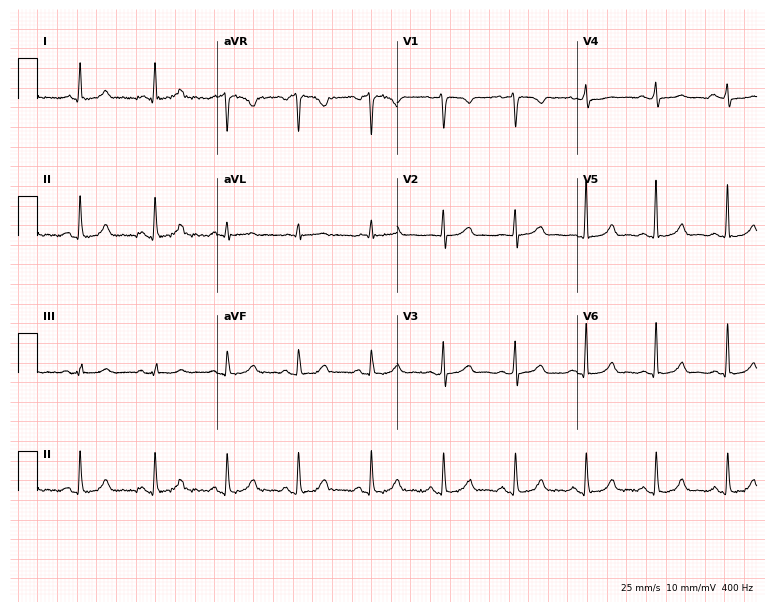
Electrocardiogram (7.3-second recording at 400 Hz), a female, 45 years old. Overall reading on record: normal ECG.